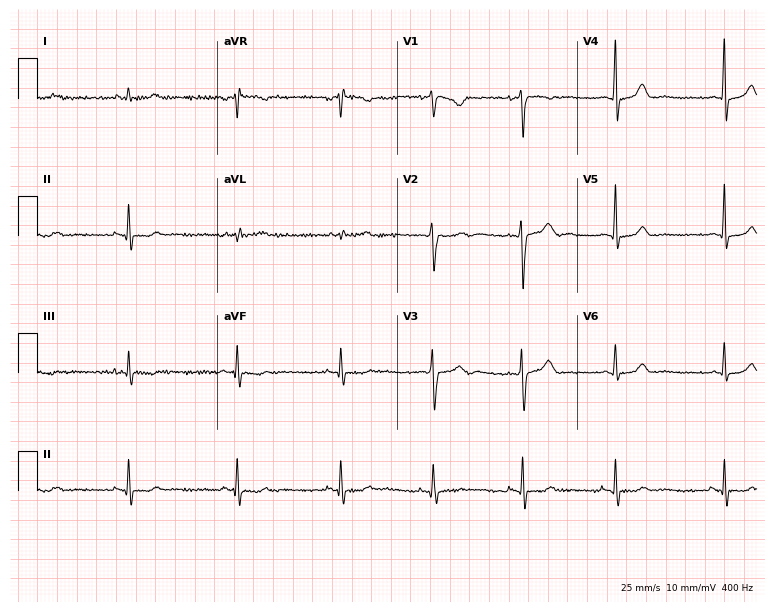
ECG — a woman, 29 years old. Screened for six findings — first-degree AV block, right bundle branch block (RBBB), left bundle branch block (LBBB), sinus bradycardia, atrial fibrillation (AF), sinus tachycardia — none is recorded.